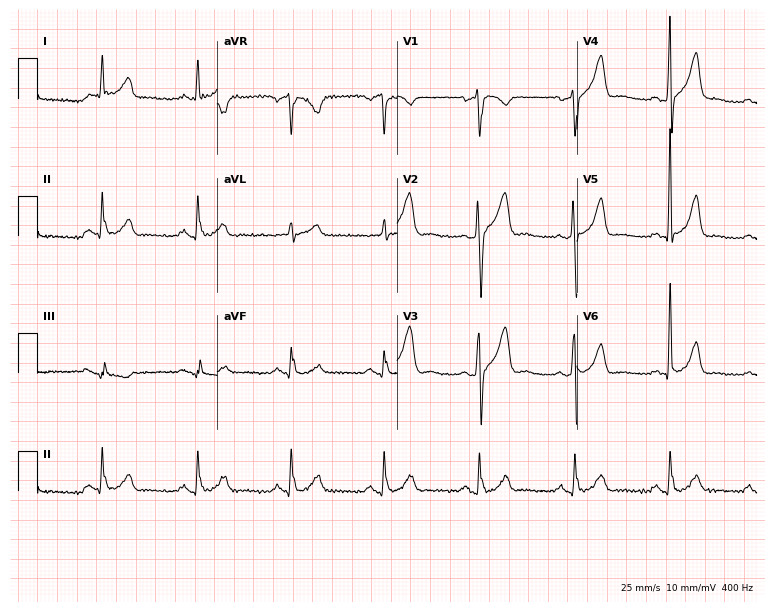
Electrocardiogram, a 73-year-old male patient. Overall reading on record: normal ECG.